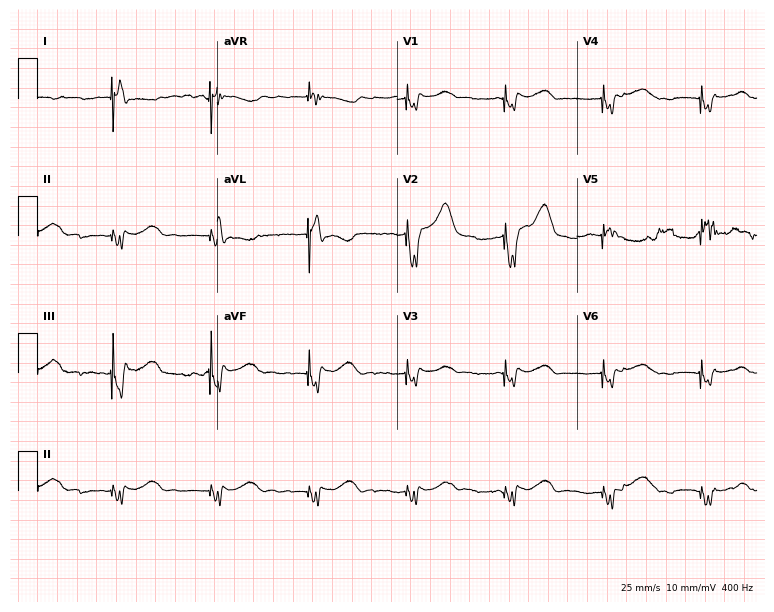
ECG — a 60-year-old female. Screened for six findings — first-degree AV block, right bundle branch block (RBBB), left bundle branch block (LBBB), sinus bradycardia, atrial fibrillation (AF), sinus tachycardia — none is recorded.